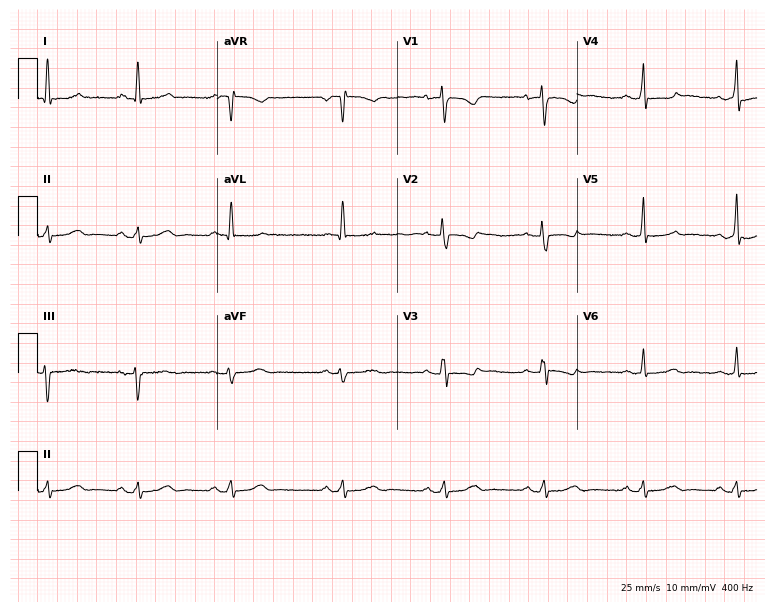
Resting 12-lead electrocardiogram. Patient: a woman, 32 years old. None of these six findings is recorded: first-degree AV block, right bundle branch block, left bundle branch block, sinus bradycardia, atrial fibrillation, sinus tachycardia.